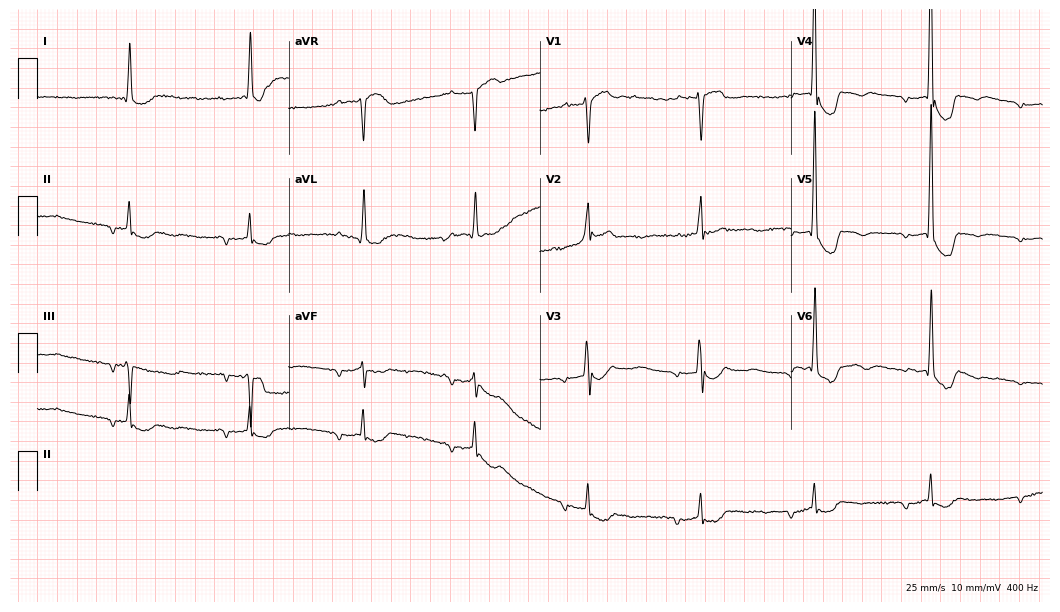
Resting 12-lead electrocardiogram. Patient: a 71-year-old female. None of these six findings is recorded: first-degree AV block, right bundle branch block, left bundle branch block, sinus bradycardia, atrial fibrillation, sinus tachycardia. Other findings, if any, are not listed.